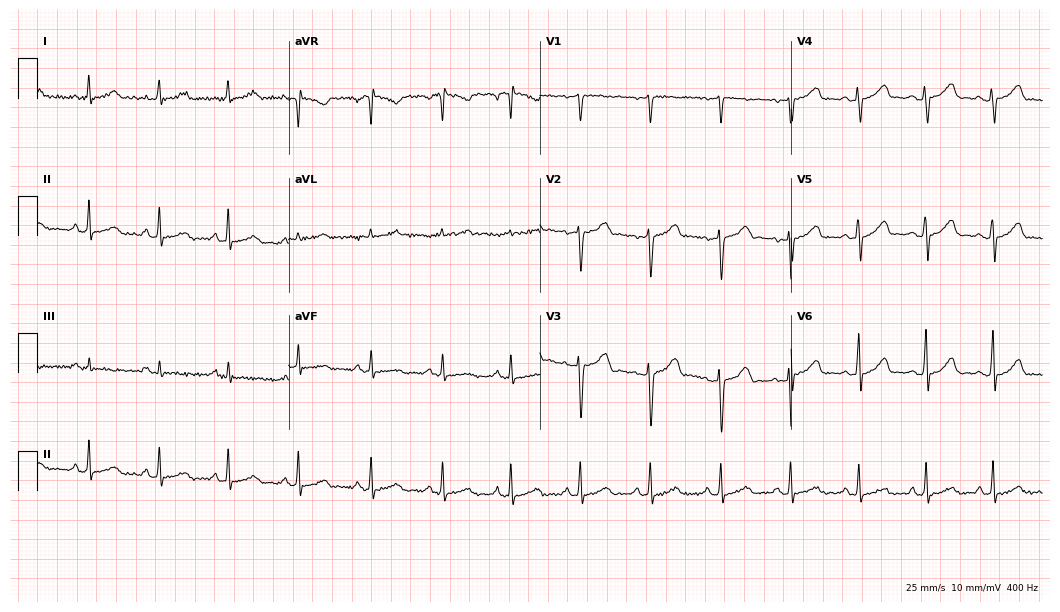
Standard 12-lead ECG recorded from a 43-year-old female. Read as a normal ECG.